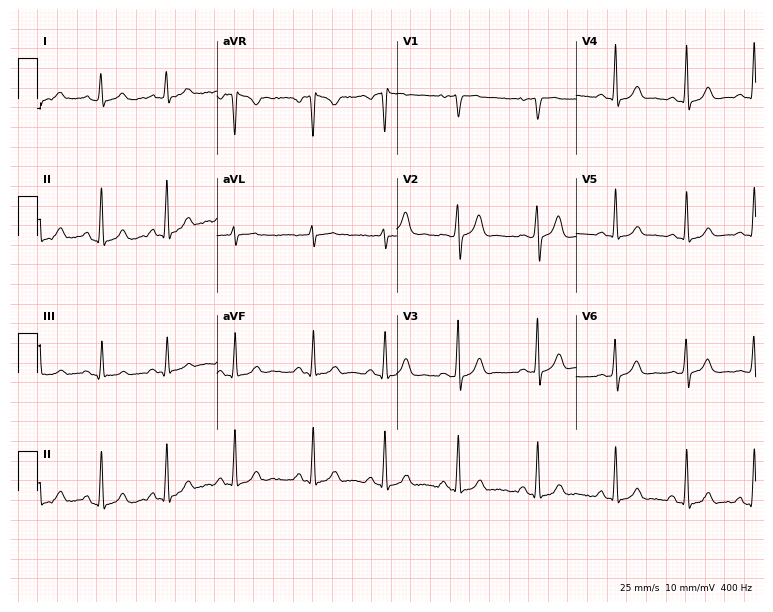
12-lead ECG (7.3-second recording at 400 Hz) from an 18-year-old woman. Screened for six findings — first-degree AV block, right bundle branch block (RBBB), left bundle branch block (LBBB), sinus bradycardia, atrial fibrillation (AF), sinus tachycardia — none is recorded.